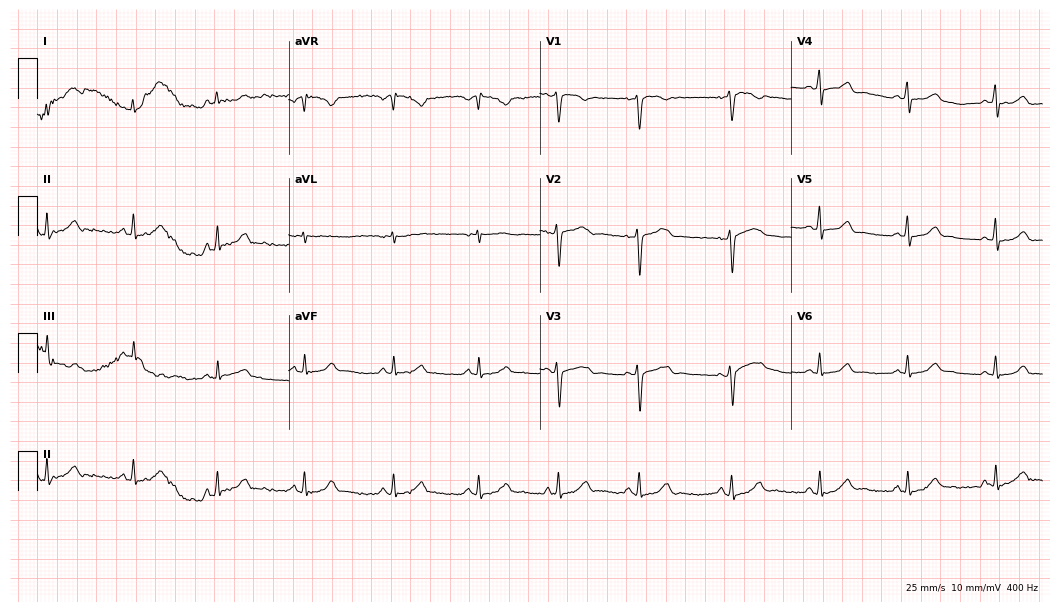
12-lead ECG (10.2-second recording at 400 Hz) from a 37-year-old female patient. Screened for six findings — first-degree AV block, right bundle branch block (RBBB), left bundle branch block (LBBB), sinus bradycardia, atrial fibrillation (AF), sinus tachycardia — none is recorded.